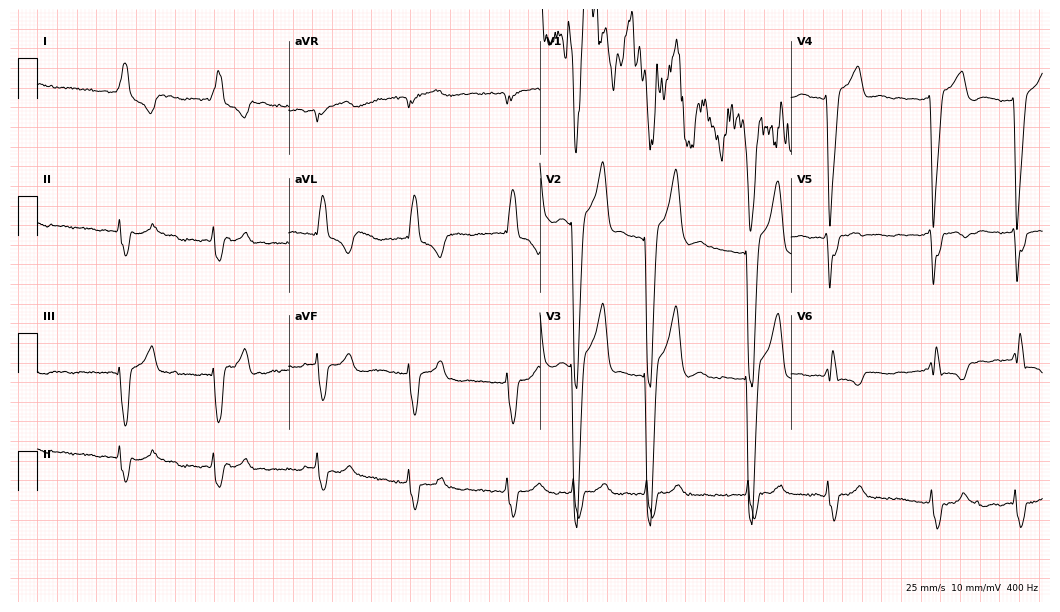
12-lead ECG from a woman, 77 years old. Findings include atrial fibrillation.